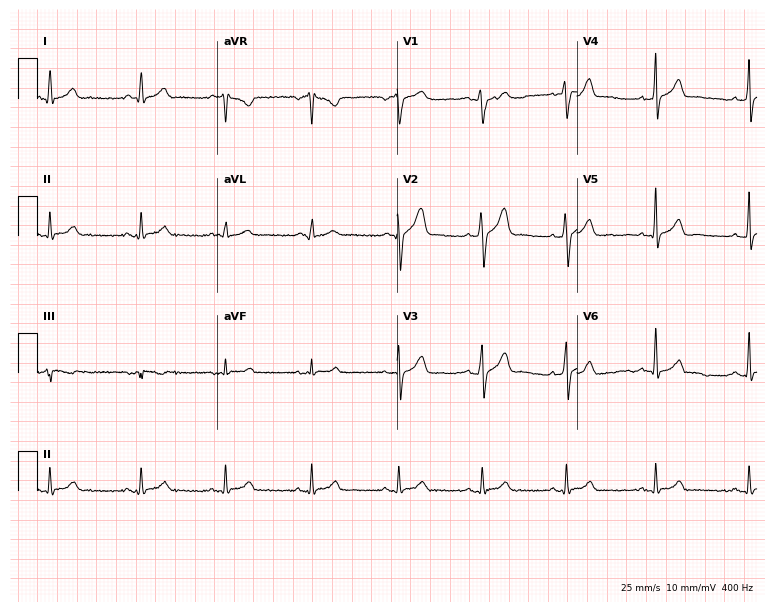
Electrocardiogram, a male, 46 years old. Of the six screened findings (first-degree AV block, right bundle branch block, left bundle branch block, sinus bradycardia, atrial fibrillation, sinus tachycardia), none is recorded. Findings outside these six are not listed.